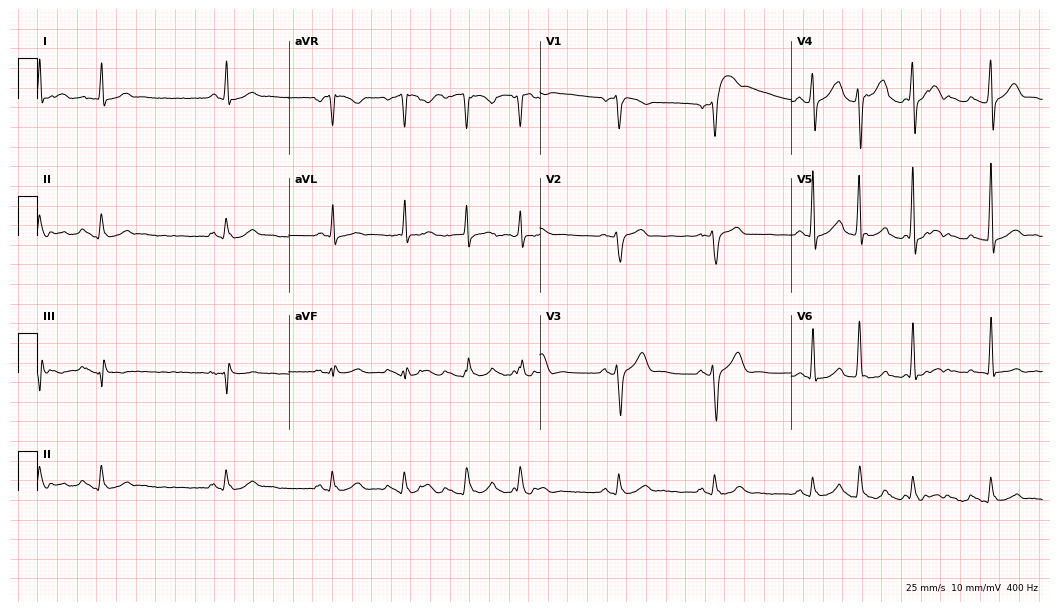
Electrocardiogram, a male patient, 51 years old. Of the six screened findings (first-degree AV block, right bundle branch block, left bundle branch block, sinus bradycardia, atrial fibrillation, sinus tachycardia), none is recorded. Only these six findings were labelled.